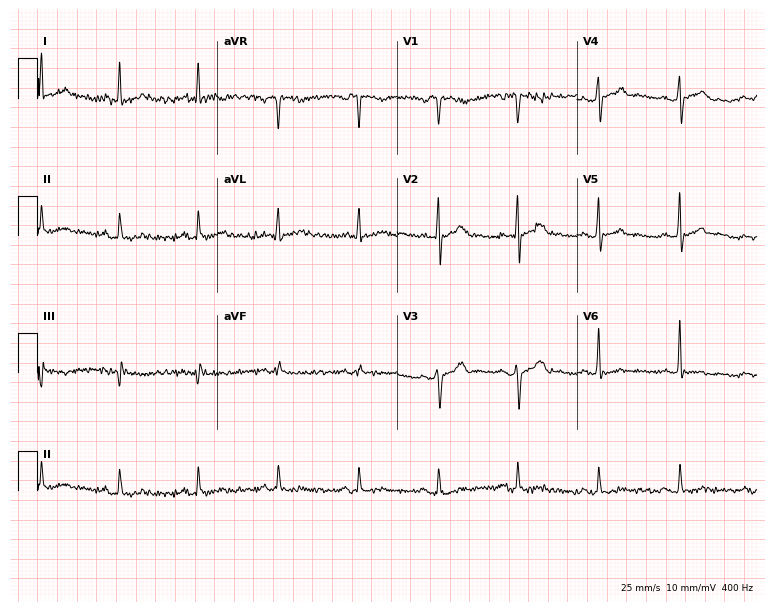
Resting 12-lead electrocardiogram. Patient: a 49-year-old male. None of these six findings is recorded: first-degree AV block, right bundle branch block (RBBB), left bundle branch block (LBBB), sinus bradycardia, atrial fibrillation (AF), sinus tachycardia.